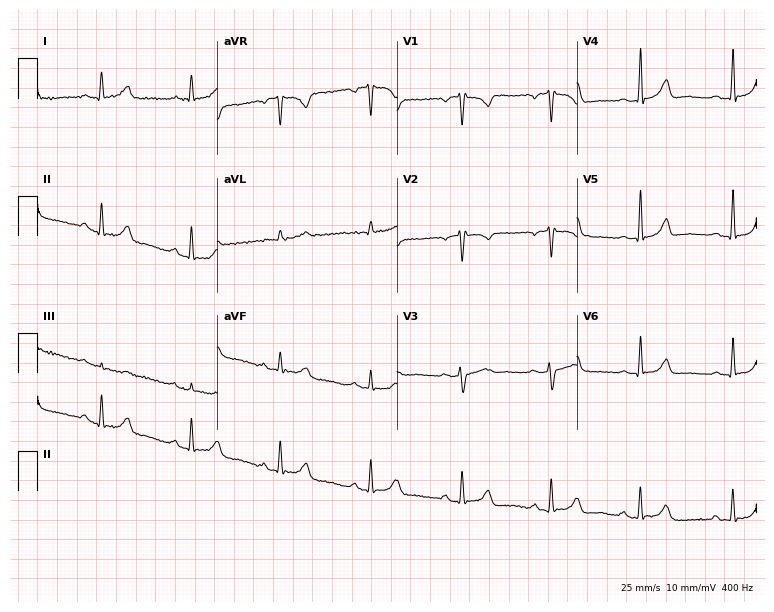
Electrocardiogram (7.3-second recording at 400 Hz), a female, 43 years old. Of the six screened findings (first-degree AV block, right bundle branch block (RBBB), left bundle branch block (LBBB), sinus bradycardia, atrial fibrillation (AF), sinus tachycardia), none is recorded. Only these six findings were labelled.